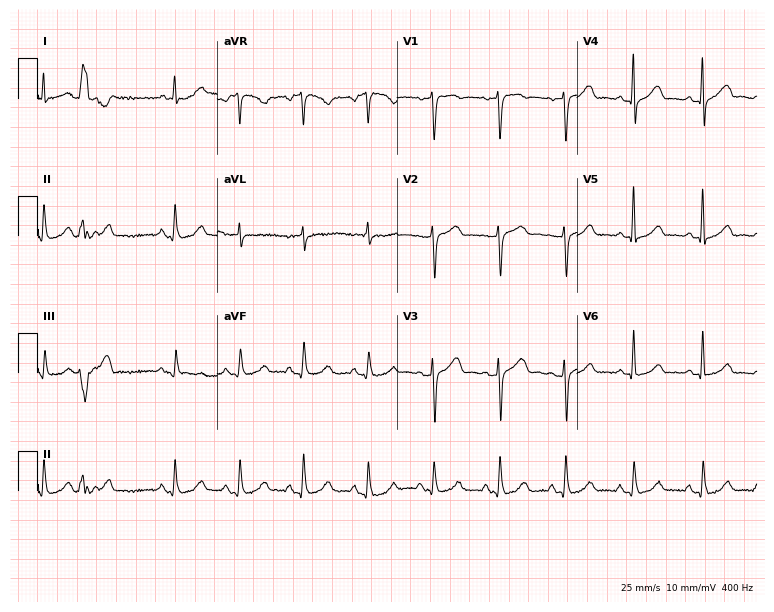
Electrocardiogram, a 56-year-old female patient. Of the six screened findings (first-degree AV block, right bundle branch block, left bundle branch block, sinus bradycardia, atrial fibrillation, sinus tachycardia), none is recorded.